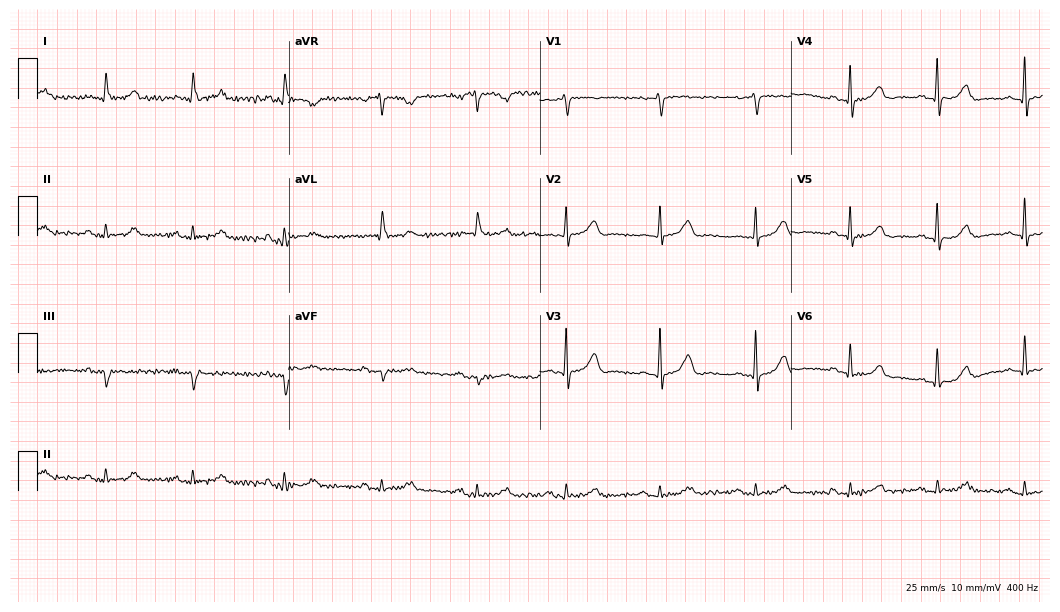
12-lead ECG (10.2-second recording at 400 Hz) from an 81-year-old woman. Labelled as a normal ECG.